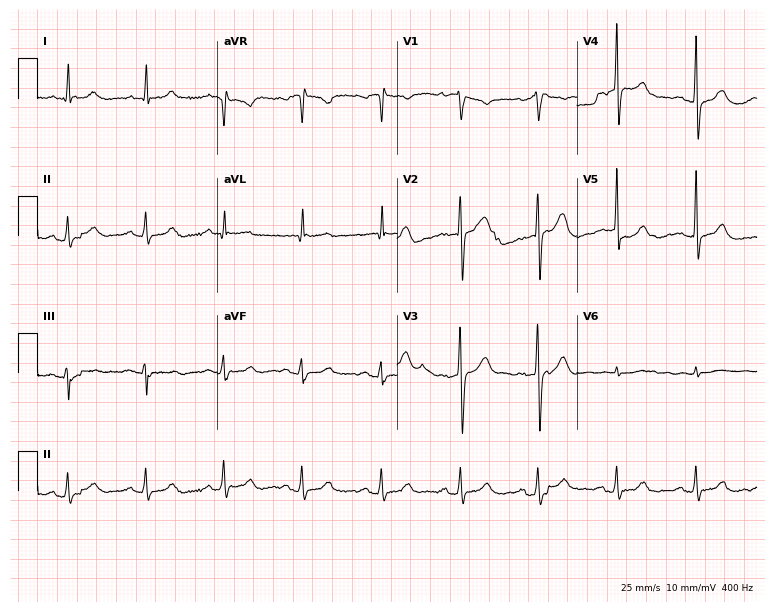
12-lead ECG from a male patient, 62 years old. Recorded interpretation: within normal limits.